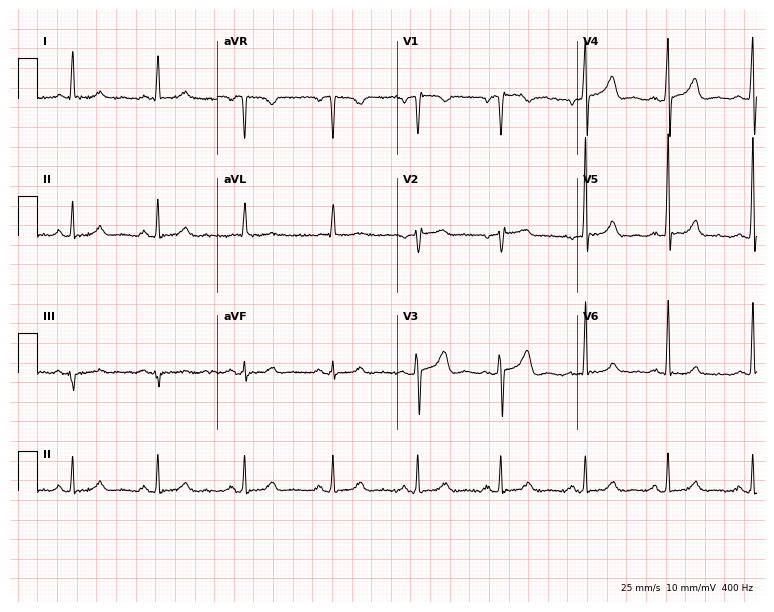
Electrocardiogram, a 66-year-old male. Overall reading on record: normal ECG.